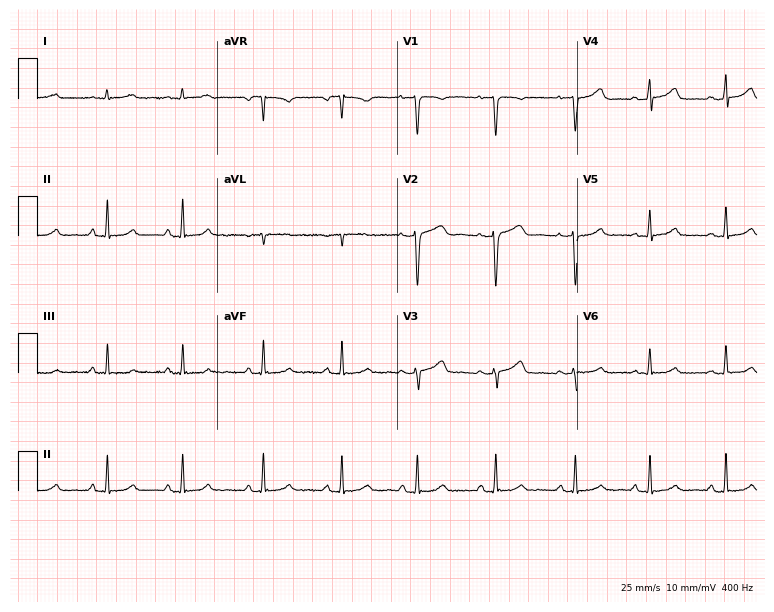
Electrocardiogram (7.3-second recording at 400 Hz), a female patient, 48 years old. Of the six screened findings (first-degree AV block, right bundle branch block, left bundle branch block, sinus bradycardia, atrial fibrillation, sinus tachycardia), none is recorded.